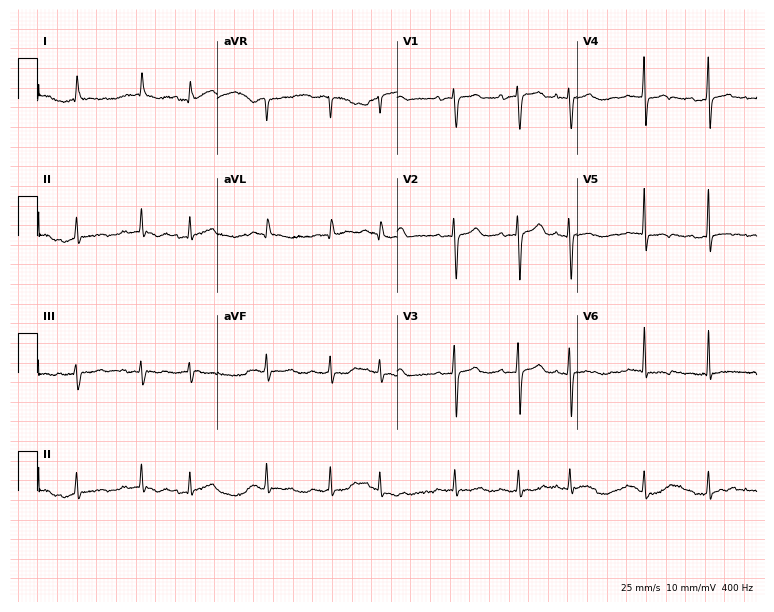
12-lead ECG from an 84-year-old woman. Screened for six findings — first-degree AV block, right bundle branch block, left bundle branch block, sinus bradycardia, atrial fibrillation, sinus tachycardia — none is recorded.